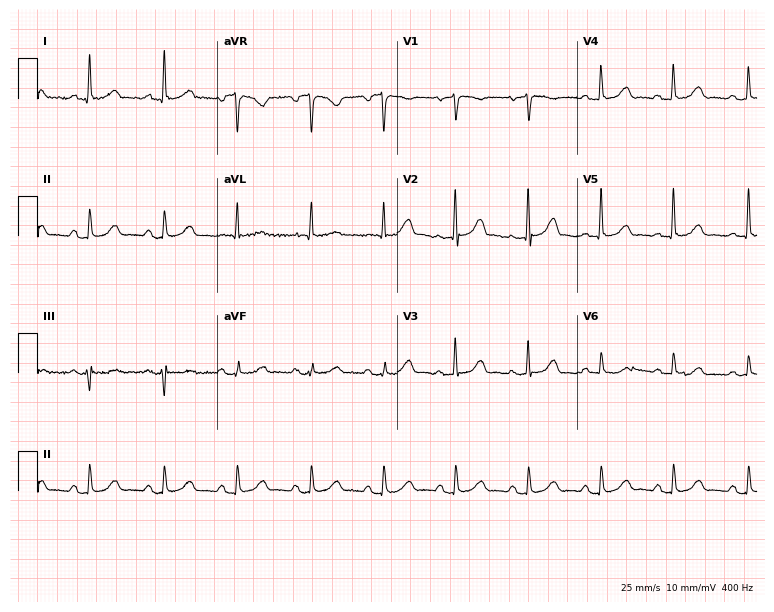
ECG — a 68-year-old female. Screened for six findings — first-degree AV block, right bundle branch block (RBBB), left bundle branch block (LBBB), sinus bradycardia, atrial fibrillation (AF), sinus tachycardia — none is recorded.